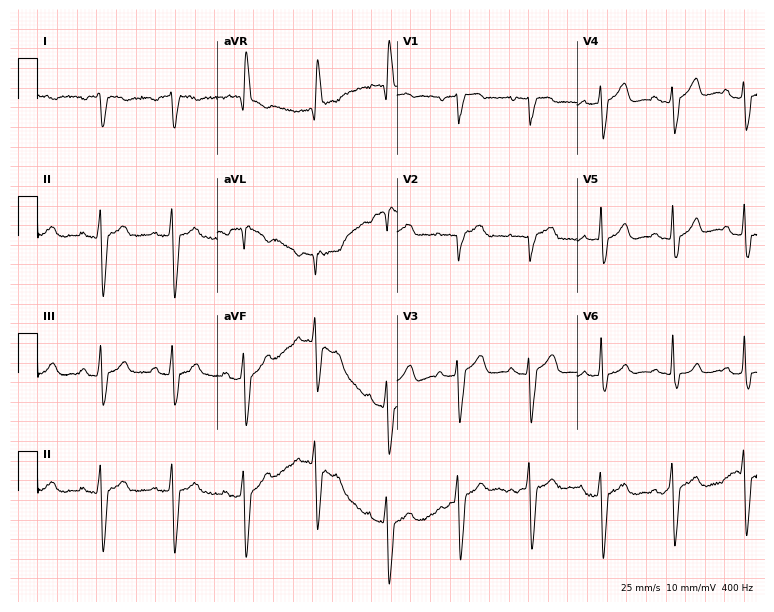
Resting 12-lead electrocardiogram. Patient: a woman, 72 years old. None of these six findings is recorded: first-degree AV block, right bundle branch block, left bundle branch block, sinus bradycardia, atrial fibrillation, sinus tachycardia.